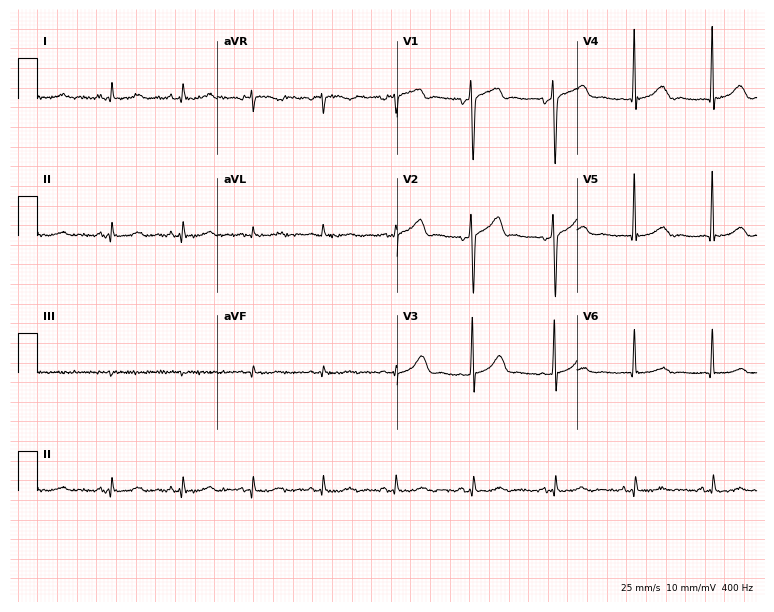
Standard 12-lead ECG recorded from a female patient, 64 years old. Read as a normal ECG.